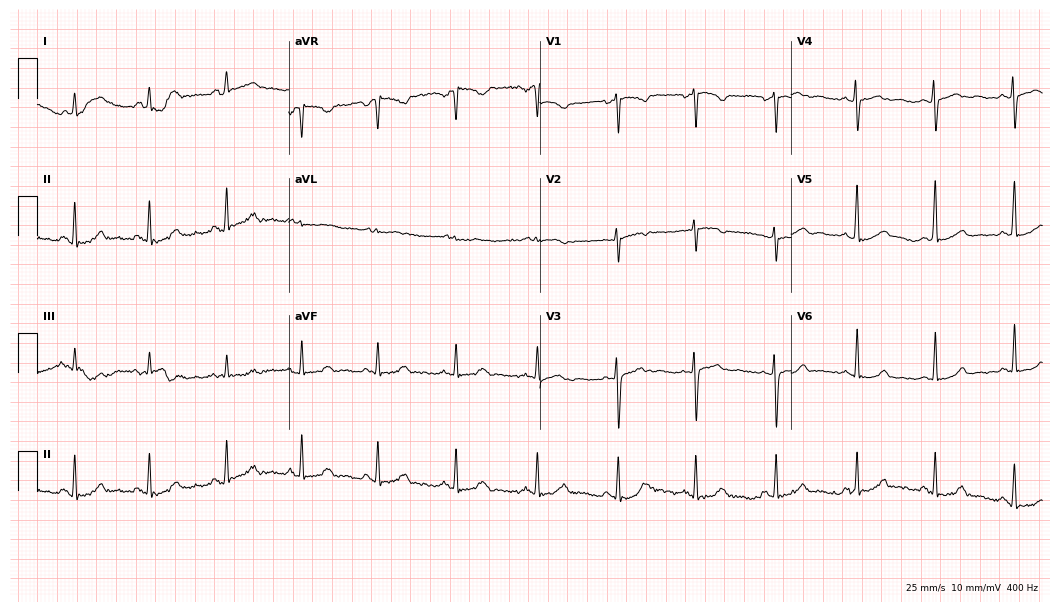
Standard 12-lead ECG recorded from an 18-year-old female. Read as a normal ECG.